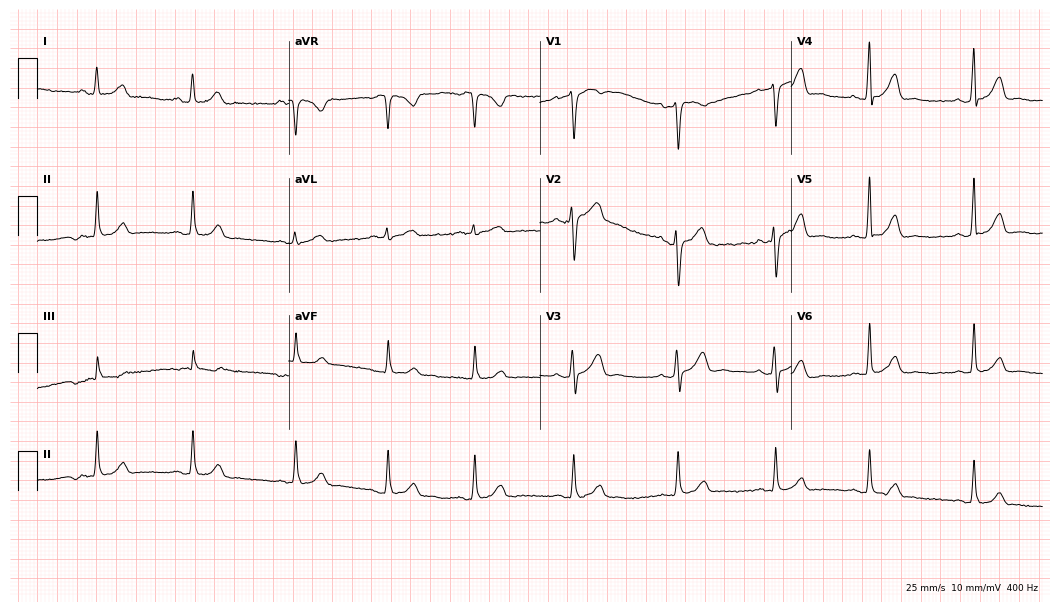
Standard 12-lead ECG recorded from a 34-year-old female (10.2-second recording at 400 Hz). Read as a normal ECG.